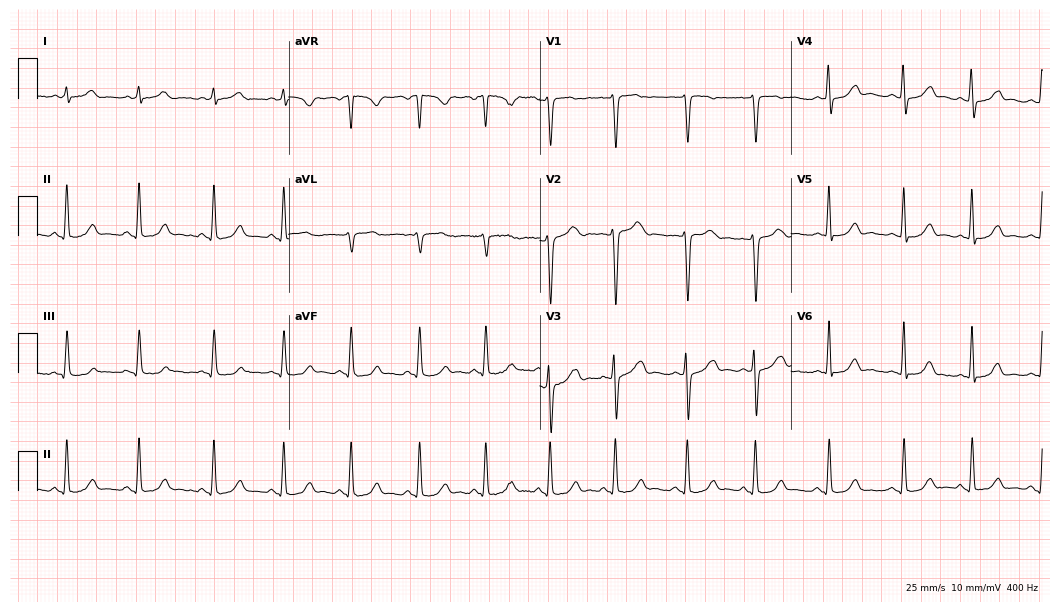
Electrocardiogram, a female patient, 21 years old. Overall reading on record: normal ECG.